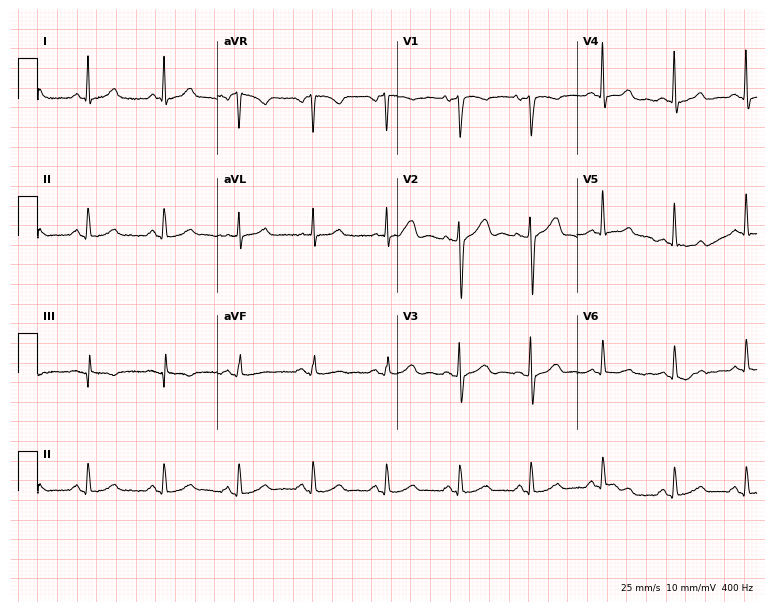
12-lead ECG (7.3-second recording at 400 Hz) from a 45-year-old female. Labelled as a normal ECG.